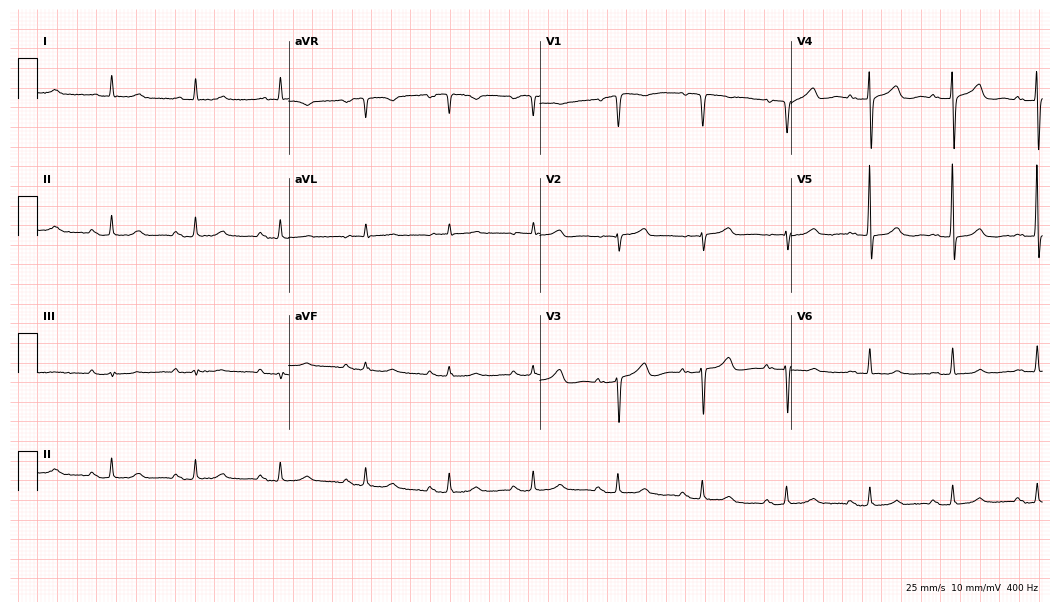
12-lead ECG from an 84-year-old female patient. No first-degree AV block, right bundle branch block (RBBB), left bundle branch block (LBBB), sinus bradycardia, atrial fibrillation (AF) or sinus tachycardia recorded for this tracing.